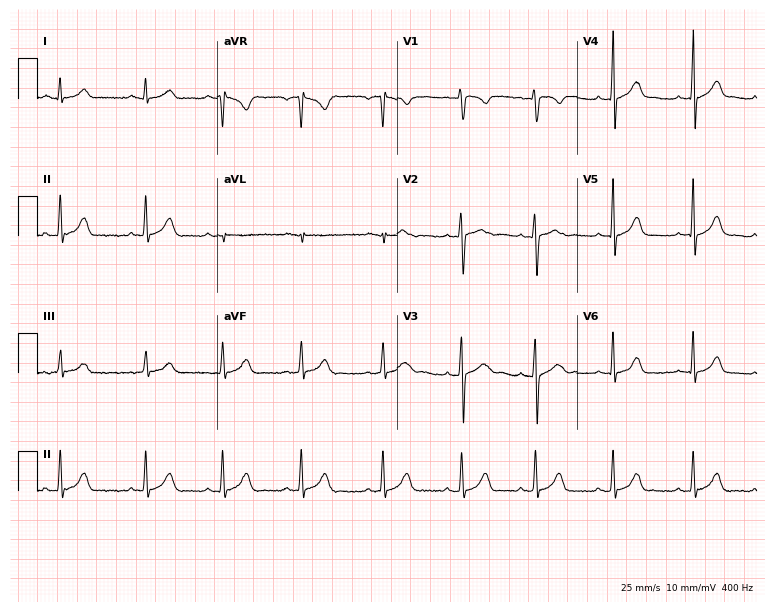
ECG — a woman, 23 years old. Screened for six findings — first-degree AV block, right bundle branch block (RBBB), left bundle branch block (LBBB), sinus bradycardia, atrial fibrillation (AF), sinus tachycardia — none is recorded.